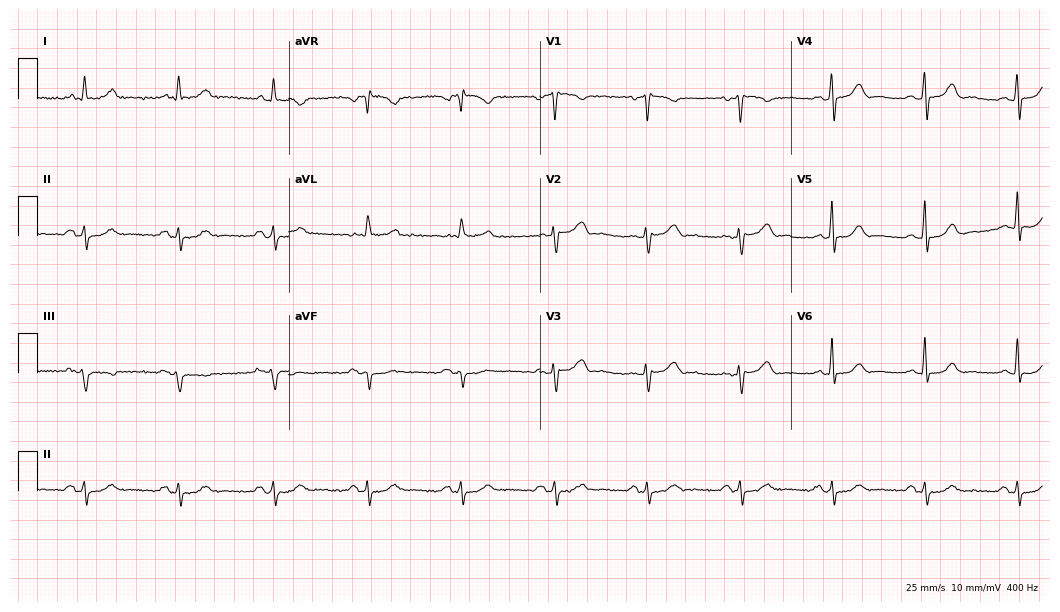
12-lead ECG from a male, 62 years old (10.2-second recording at 400 Hz). No first-degree AV block, right bundle branch block (RBBB), left bundle branch block (LBBB), sinus bradycardia, atrial fibrillation (AF) or sinus tachycardia recorded for this tracing. Findings outside these six are not listed.